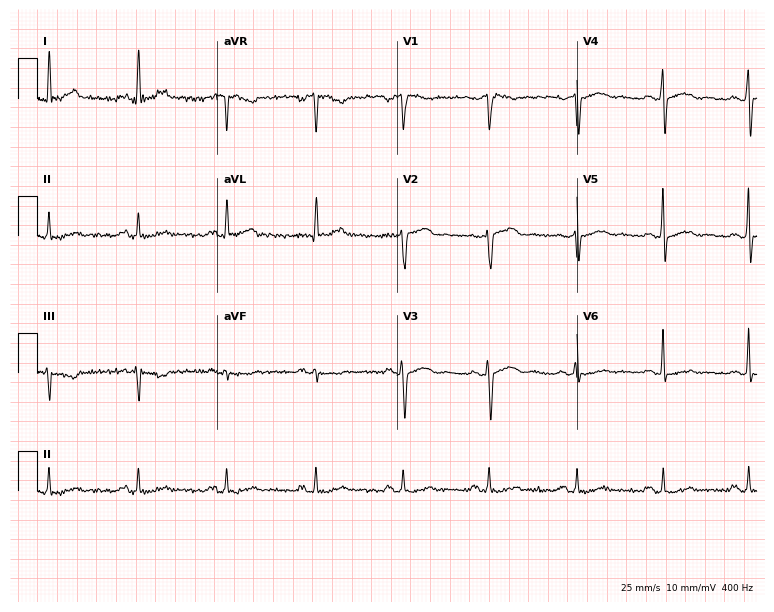
ECG (7.3-second recording at 400 Hz) — a 39-year-old female. Screened for six findings — first-degree AV block, right bundle branch block (RBBB), left bundle branch block (LBBB), sinus bradycardia, atrial fibrillation (AF), sinus tachycardia — none is recorded. Other findings, if any, are not listed.